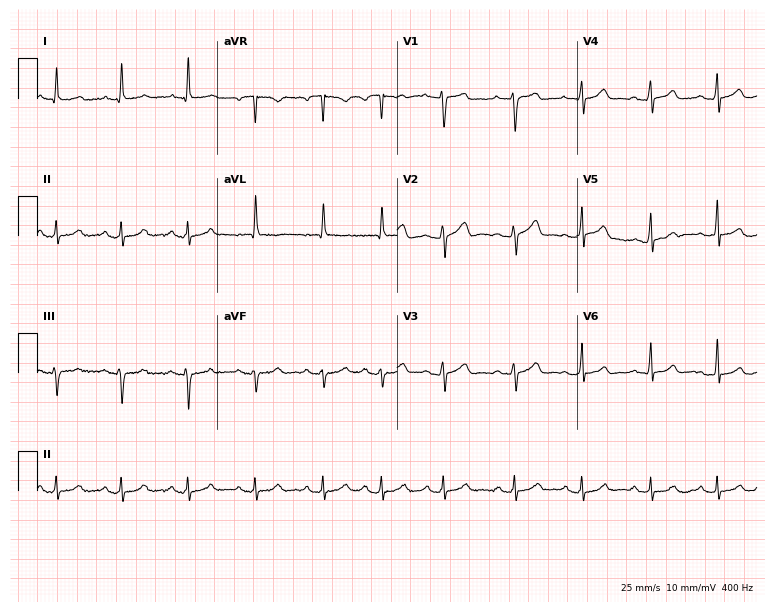
Standard 12-lead ECG recorded from a female, 24 years old. None of these six findings is recorded: first-degree AV block, right bundle branch block, left bundle branch block, sinus bradycardia, atrial fibrillation, sinus tachycardia. Other findings, if any, are not listed.